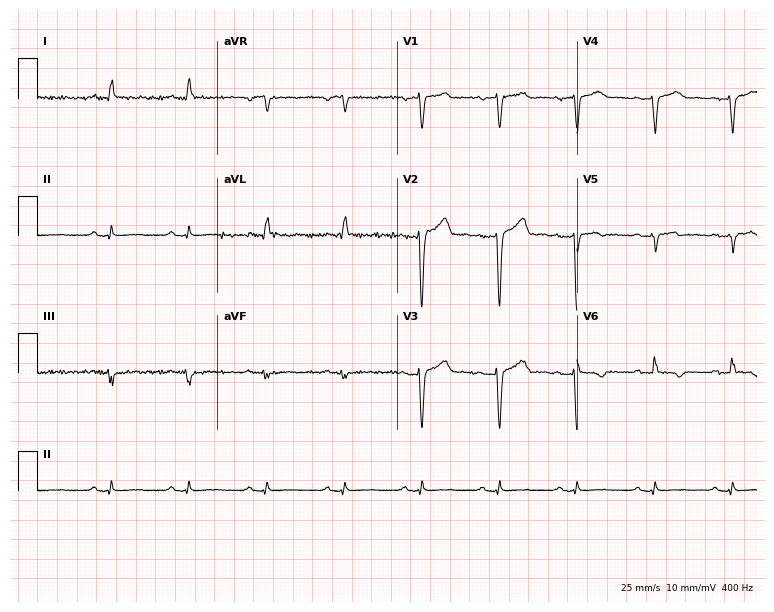
Standard 12-lead ECG recorded from a male patient, 34 years old (7.3-second recording at 400 Hz). None of these six findings is recorded: first-degree AV block, right bundle branch block, left bundle branch block, sinus bradycardia, atrial fibrillation, sinus tachycardia. Other findings, if any, are not listed.